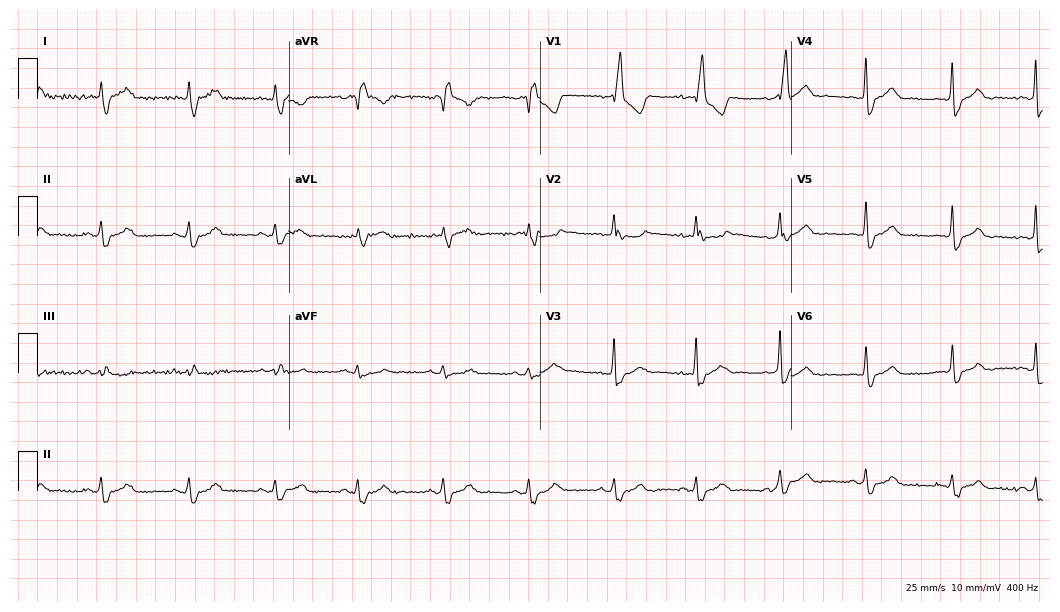
Resting 12-lead electrocardiogram. Patient: a 68-year-old woman. The tracing shows right bundle branch block.